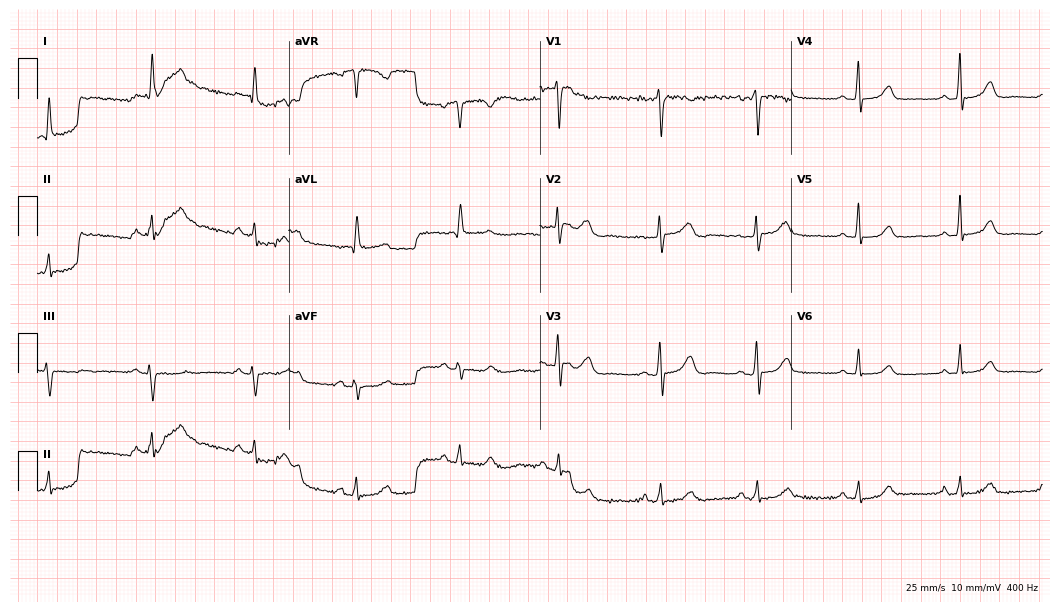
Resting 12-lead electrocardiogram (10.2-second recording at 400 Hz). Patient: a 61-year-old female. Read as a normal ECG.